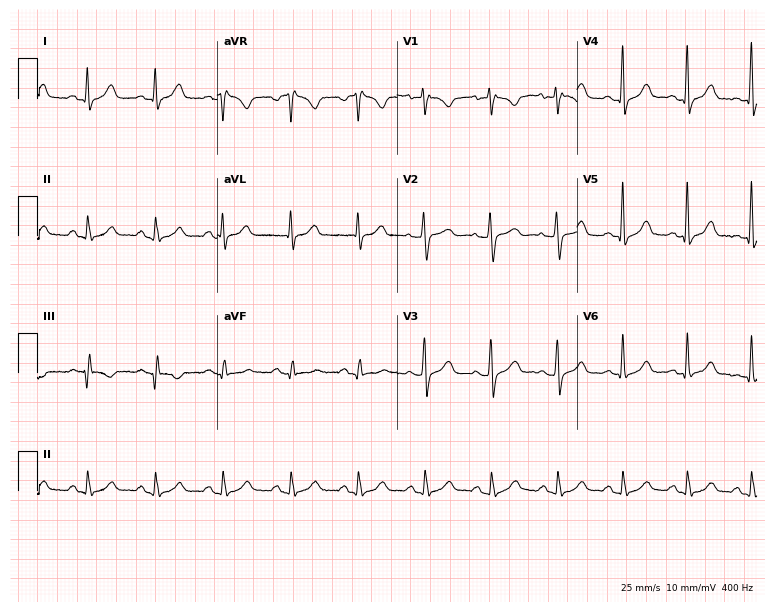
12-lead ECG (7.3-second recording at 400 Hz) from a woman, 43 years old. Screened for six findings — first-degree AV block, right bundle branch block (RBBB), left bundle branch block (LBBB), sinus bradycardia, atrial fibrillation (AF), sinus tachycardia — none is recorded.